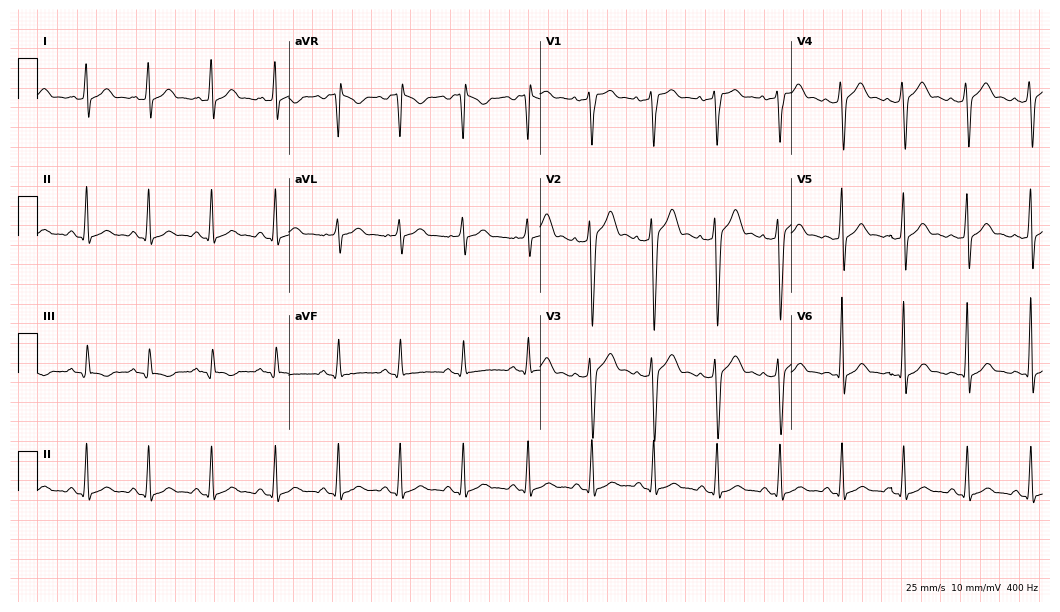
Electrocardiogram (10.2-second recording at 400 Hz), a man, 27 years old. Of the six screened findings (first-degree AV block, right bundle branch block, left bundle branch block, sinus bradycardia, atrial fibrillation, sinus tachycardia), none is recorded. Only these six findings were labelled.